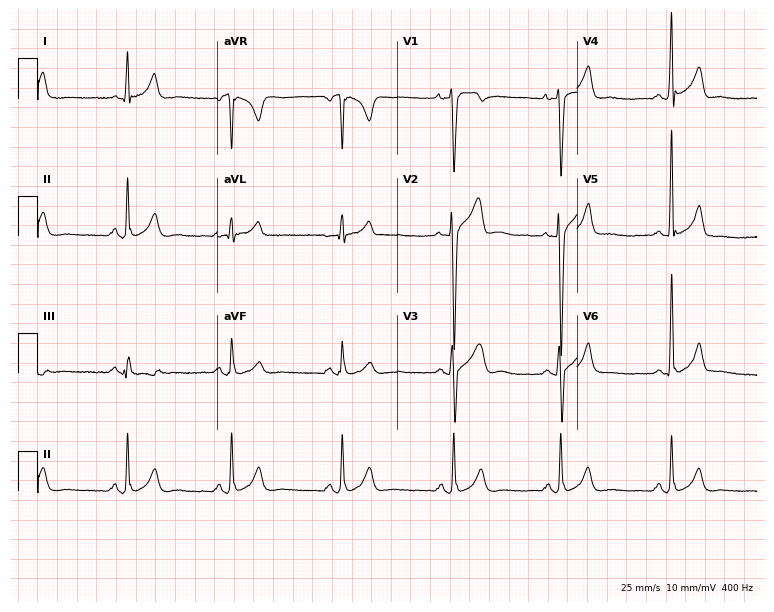
12-lead ECG from a 30-year-old male patient. Screened for six findings — first-degree AV block, right bundle branch block, left bundle branch block, sinus bradycardia, atrial fibrillation, sinus tachycardia — none is recorded.